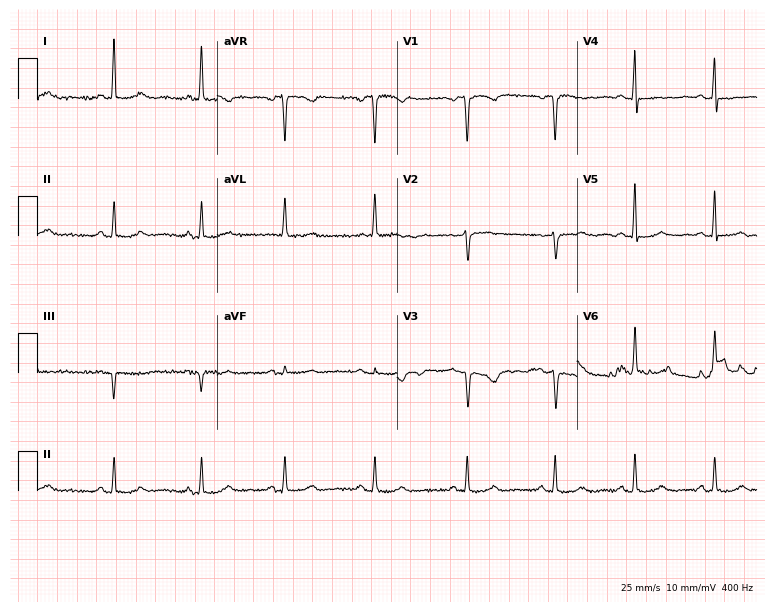
Electrocardiogram (7.3-second recording at 400 Hz), a female patient, 51 years old. Overall reading on record: normal ECG.